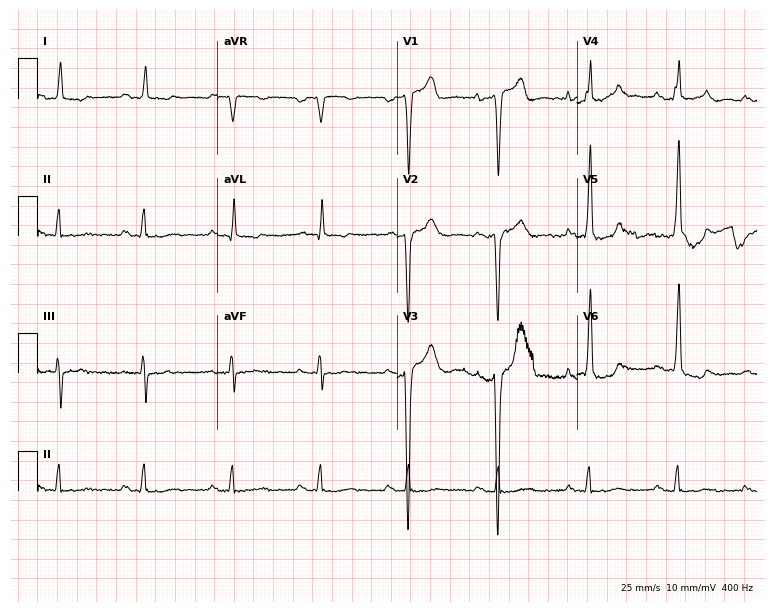
12-lead ECG (7.3-second recording at 400 Hz) from a male, 85 years old. Screened for six findings — first-degree AV block, right bundle branch block, left bundle branch block, sinus bradycardia, atrial fibrillation, sinus tachycardia — none is recorded.